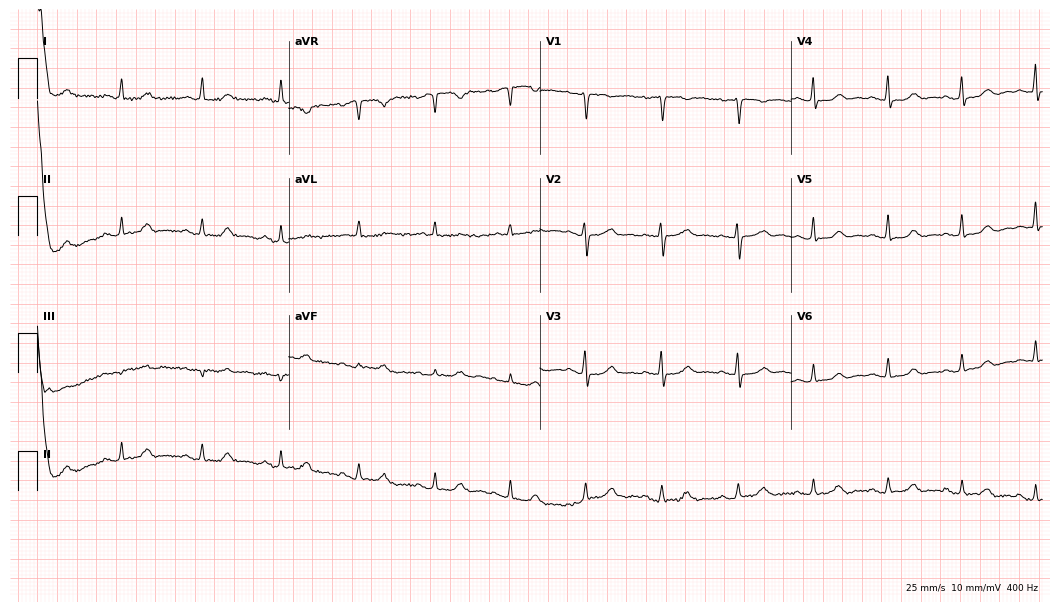
Electrocardiogram, a woman, 67 years old. Overall reading on record: normal ECG.